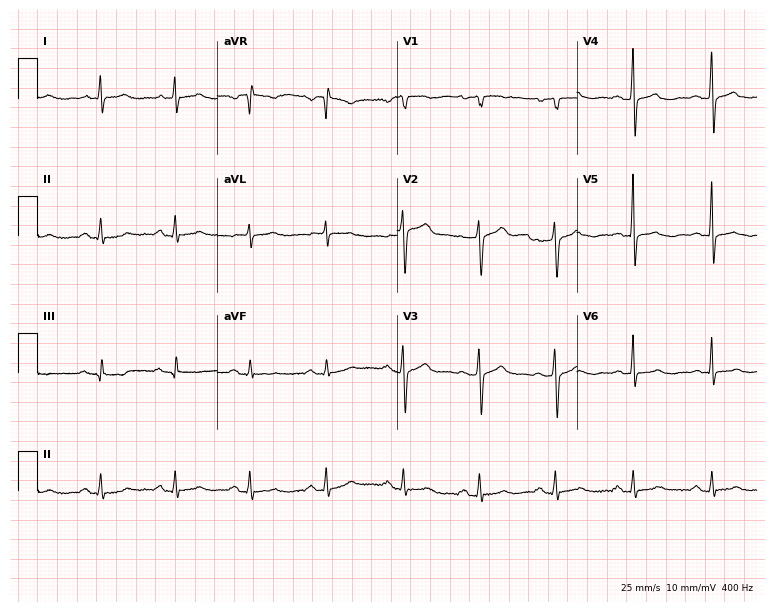
Standard 12-lead ECG recorded from a woman, 54 years old. None of these six findings is recorded: first-degree AV block, right bundle branch block, left bundle branch block, sinus bradycardia, atrial fibrillation, sinus tachycardia. Other findings, if any, are not listed.